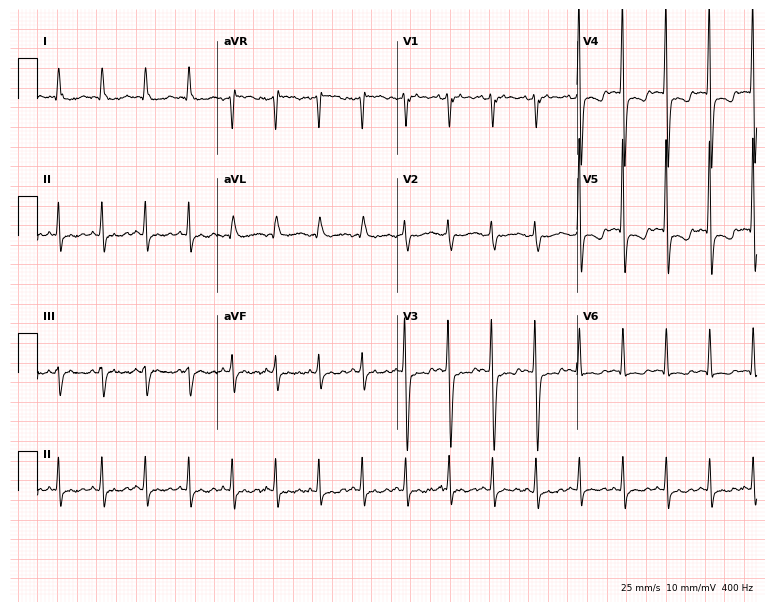
12-lead ECG from an 80-year-old woman (7.3-second recording at 400 Hz). No first-degree AV block, right bundle branch block, left bundle branch block, sinus bradycardia, atrial fibrillation or sinus tachycardia recorded for this tracing.